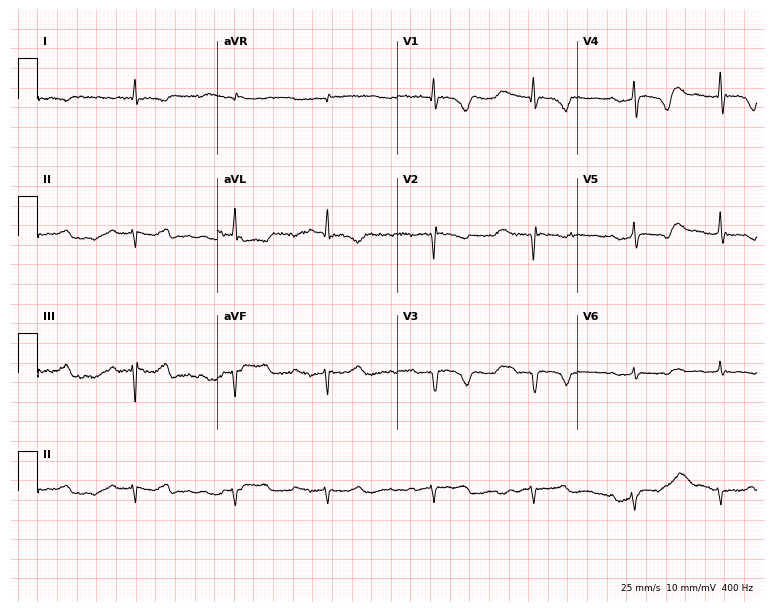
Standard 12-lead ECG recorded from an 82-year-old female (7.3-second recording at 400 Hz). None of these six findings is recorded: first-degree AV block, right bundle branch block, left bundle branch block, sinus bradycardia, atrial fibrillation, sinus tachycardia.